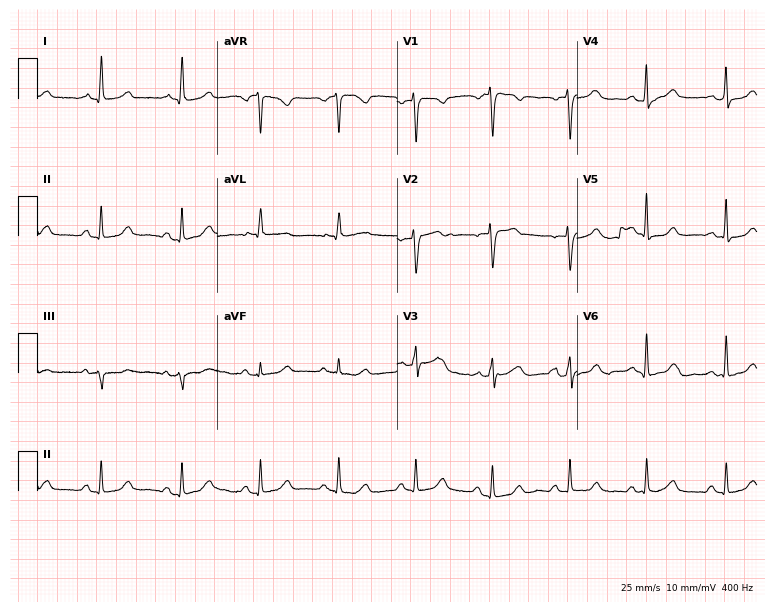
ECG — a female patient, 54 years old. Labelled as a normal ECG.